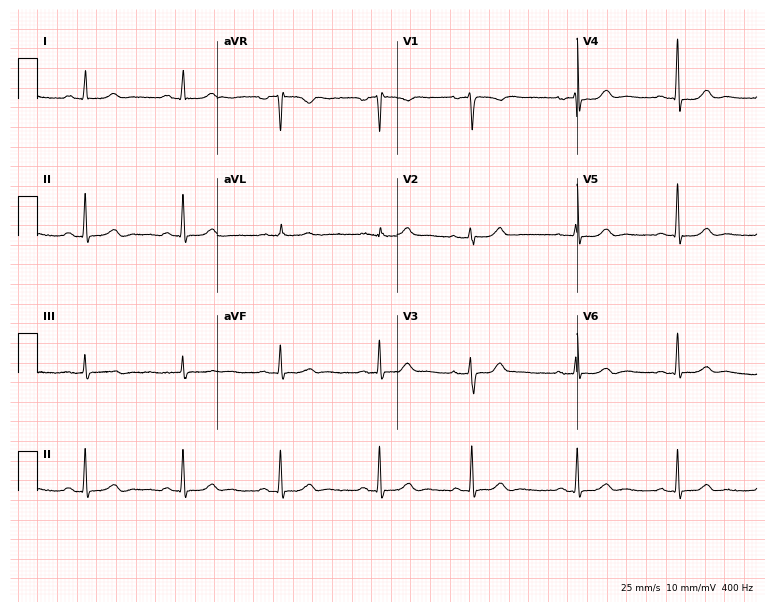
Electrocardiogram, a female patient, 59 years old. Overall reading on record: normal ECG.